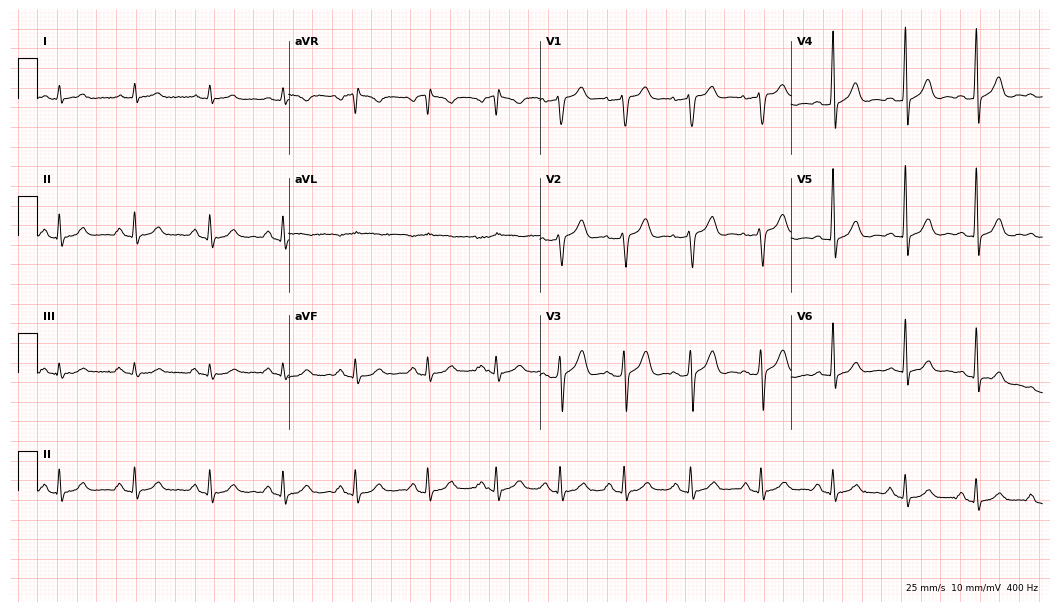
ECG (10.2-second recording at 400 Hz) — a male patient, 41 years old. Screened for six findings — first-degree AV block, right bundle branch block (RBBB), left bundle branch block (LBBB), sinus bradycardia, atrial fibrillation (AF), sinus tachycardia — none is recorded.